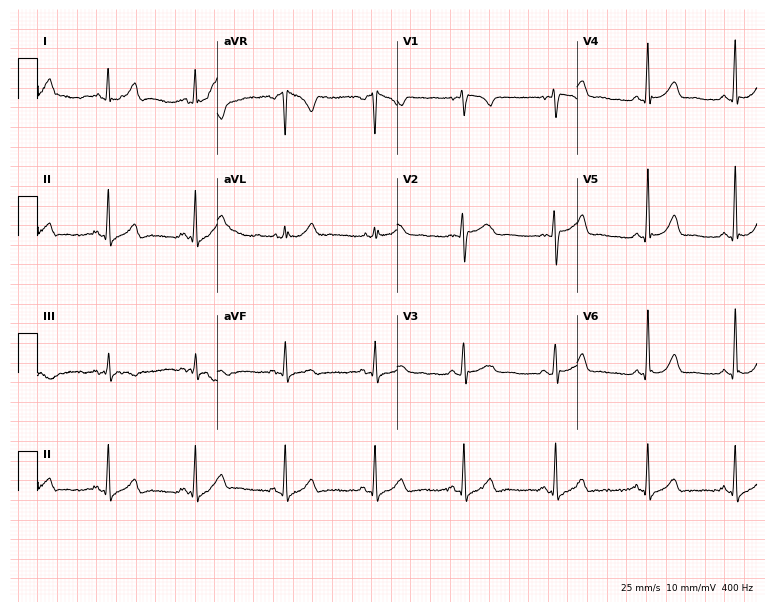
ECG — a female patient, 36 years old. Labelled as a normal ECG.